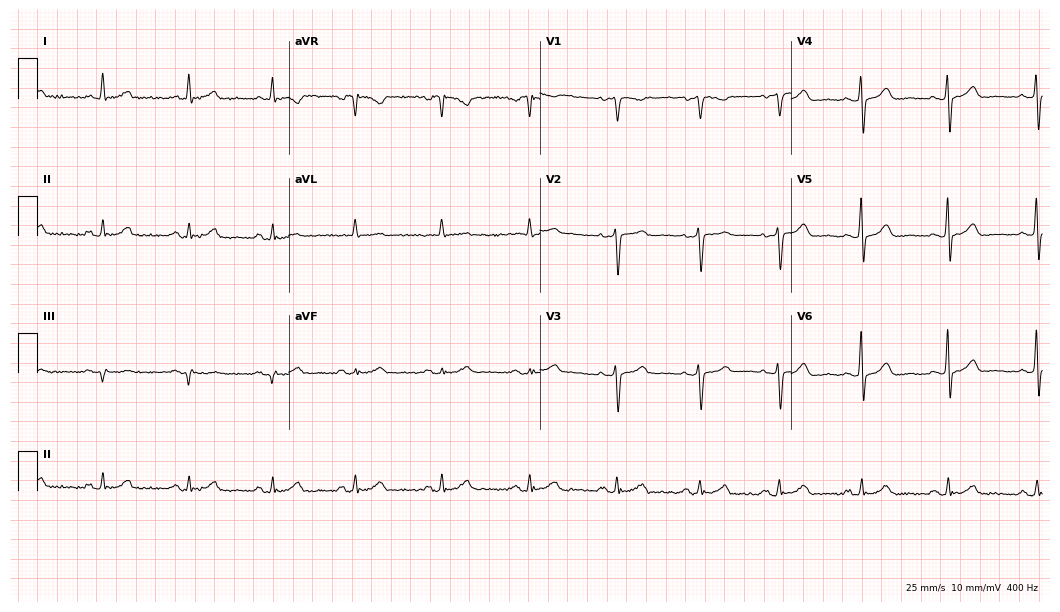
ECG (10.2-second recording at 400 Hz) — a woman, 63 years old. Labelled as a normal ECG.